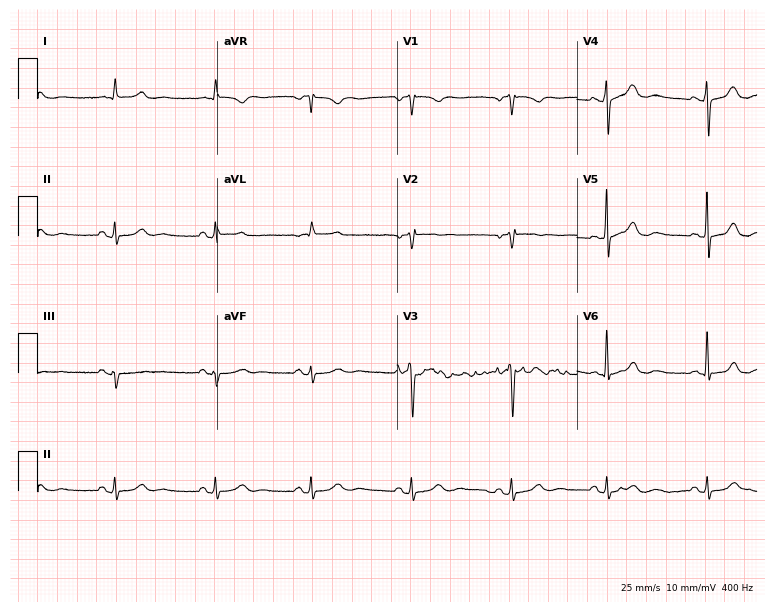
Resting 12-lead electrocardiogram. Patient: a 79-year-old woman. Read as a normal ECG.